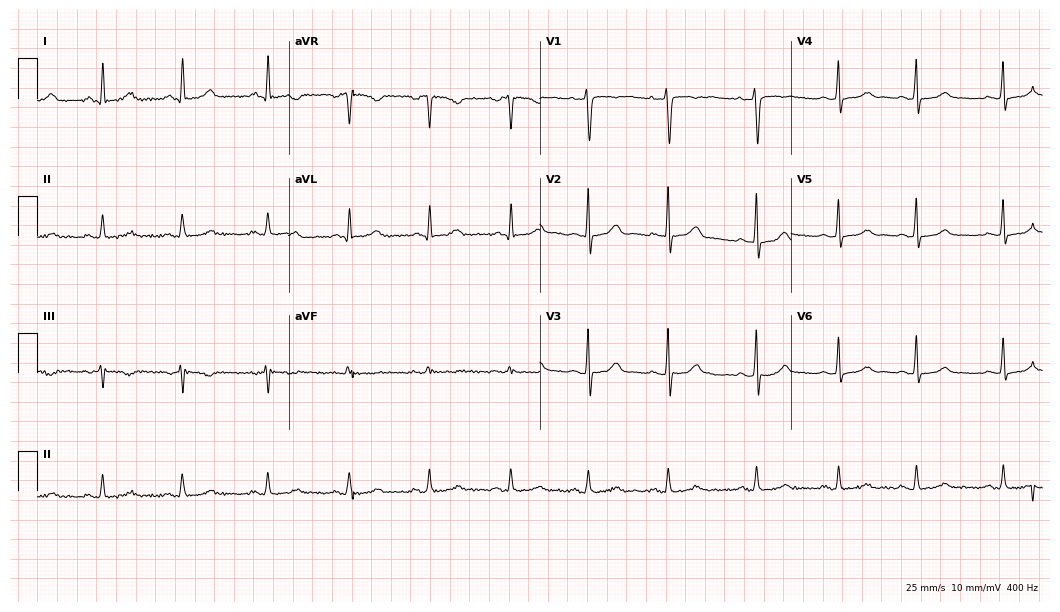
12-lead ECG (10.2-second recording at 400 Hz) from a female, 26 years old. Labelled as a normal ECG.